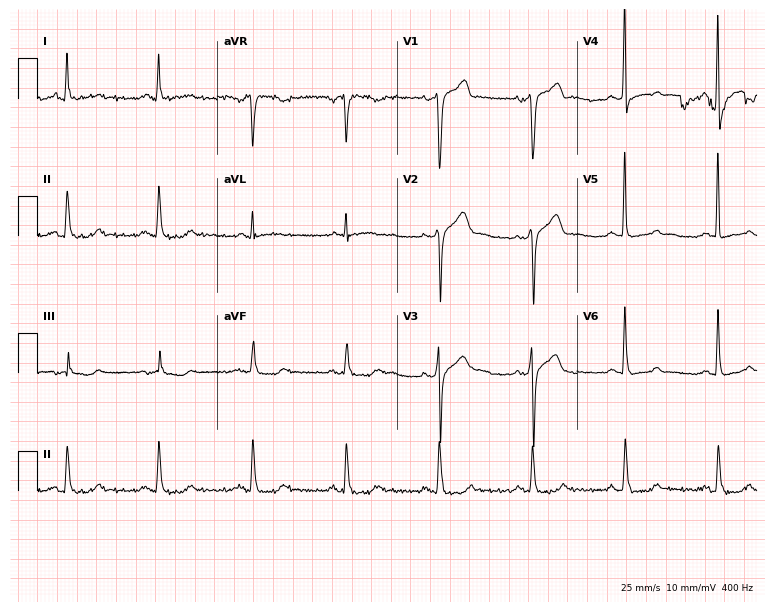
Standard 12-lead ECG recorded from a 57-year-old male patient. None of these six findings is recorded: first-degree AV block, right bundle branch block, left bundle branch block, sinus bradycardia, atrial fibrillation, sinus tachycardia.